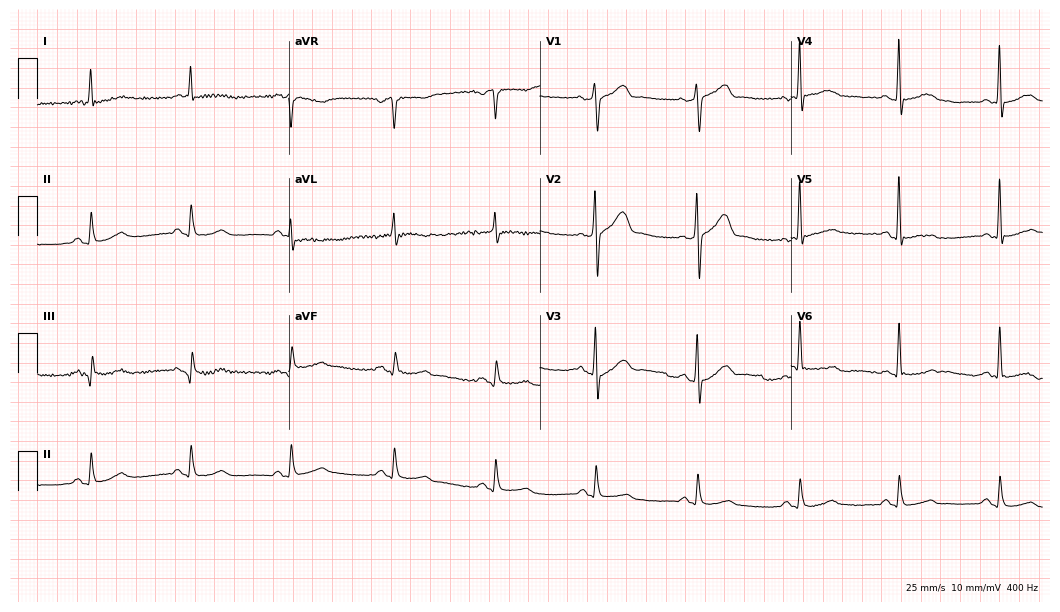
12-lead ECG (10.2-second recording at 400 Hz) from a male, 60 years old. Screened for six findings — first-degree AV block, right bundle branch block, left bundle branch block, sinus bradycardia, atrial fibrillation, sinus tachycardia — none is recorded. Only these six findings were labelled.